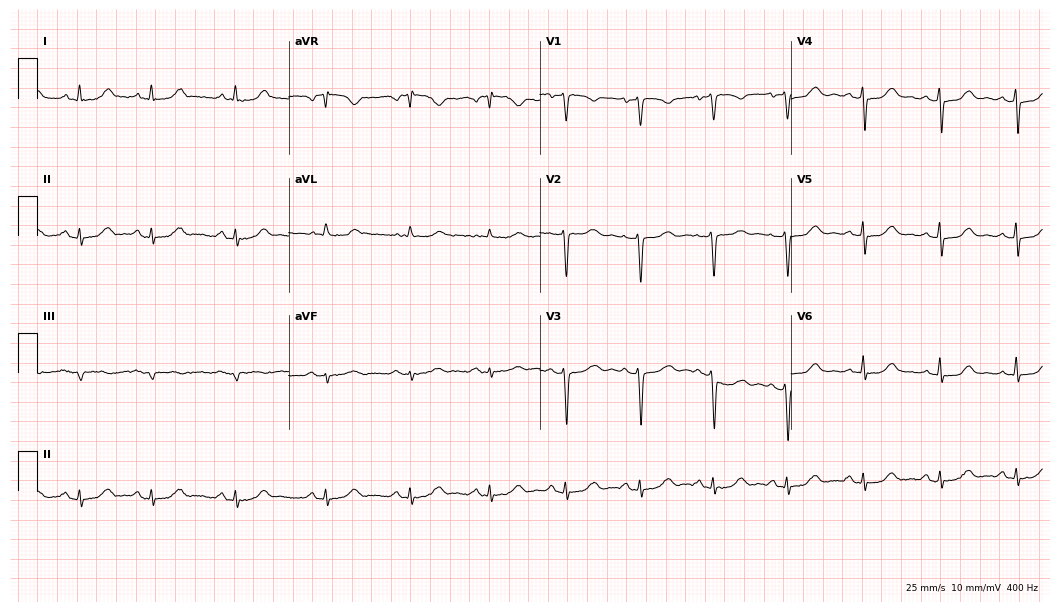
ECG (10.2-second recording at 400 Hz) — a female patient, 53 years old. Screened for six findings — first-degree AV block, right bundle branch block (RBBB), left bundle branch block (LBBB), sinus bradycardia, atrial fibrillation (AF), sinus tachycardia — none is recorded. Other findings, if any, are not listed.